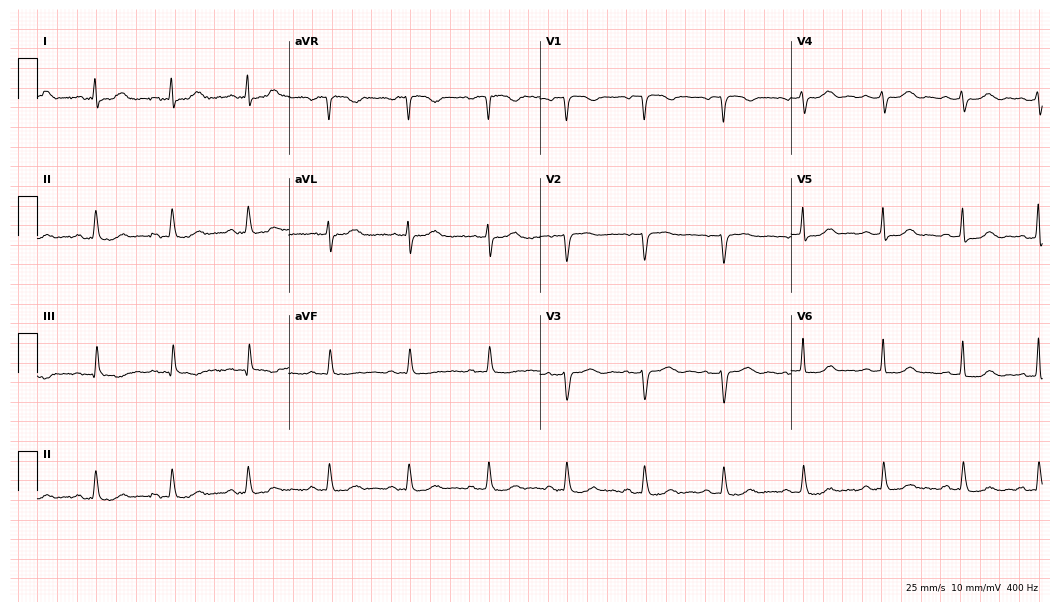
12-lead ECG from a female, 68 years old. Screened for six findings — first-degree AV block, right bundle branch block, left bundle branch block, sinus bradycardia, atrial fibrillation, sinus tachycardia — none is recorded. Only these six findings were labelled.